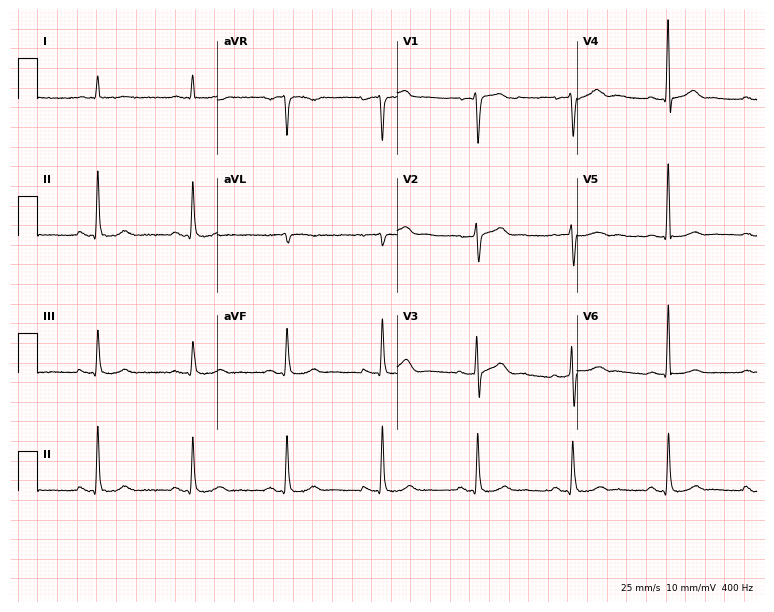
ECG — a 67-year-old male patient. Labelled as a normal ECG.